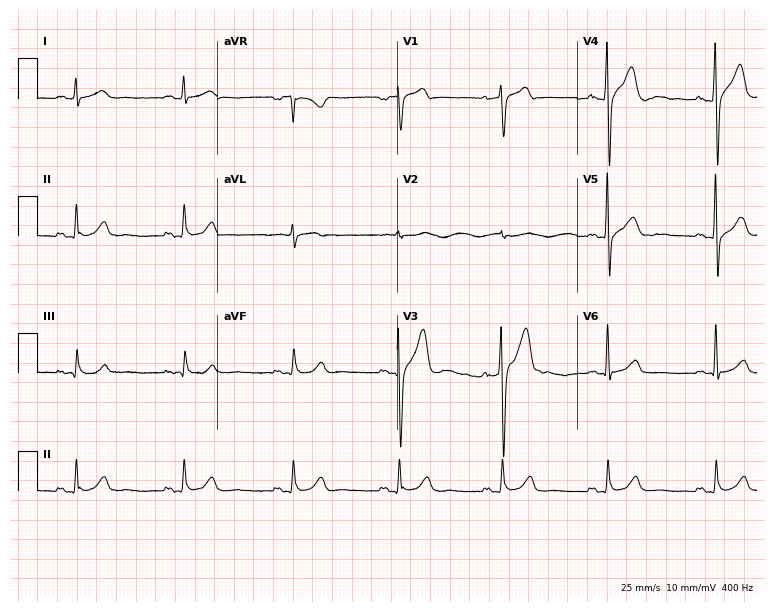
12-lead ECG (7.3-second recording at 400 Hz) from a man, 43 years old. Labelled as a normal ECG.